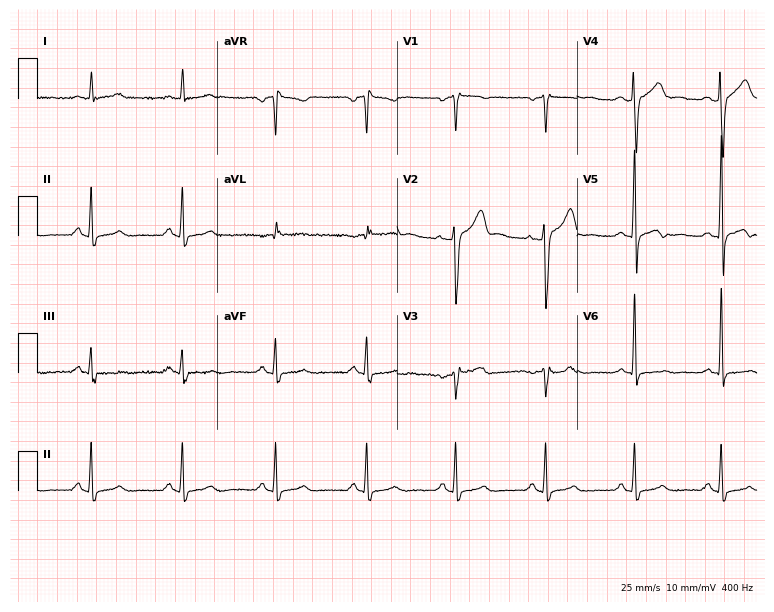
12-lead ECG from a male patient, 49 years old. Labelled as a normal ECG.